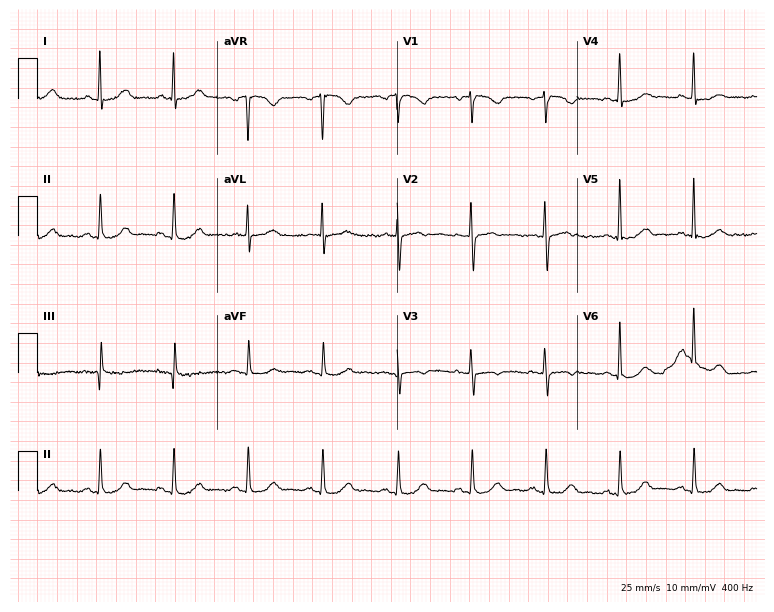
Standard 12-lead ECG recorded from a 70-year-old woman (7.3-second recording at 400 Hz). Read as a normal ECG.